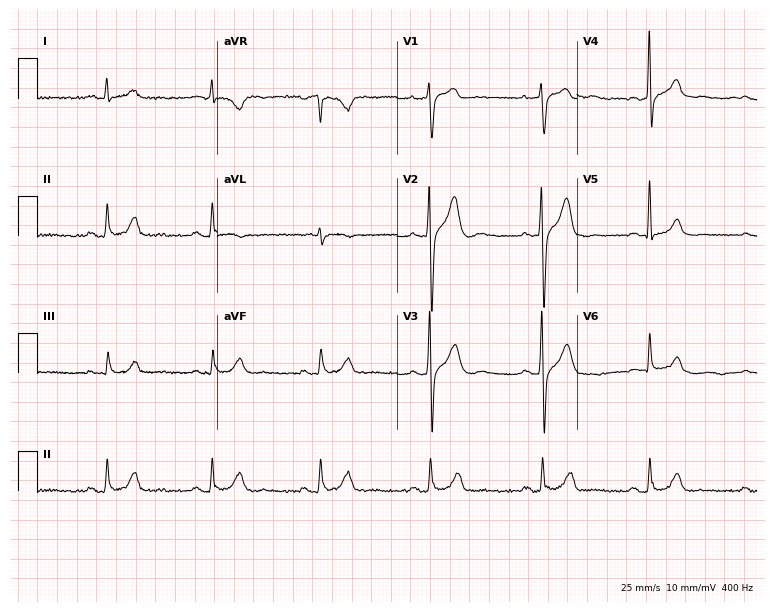
12-lead ECG from a man, 41 years old. Labelled as a normal ECG.